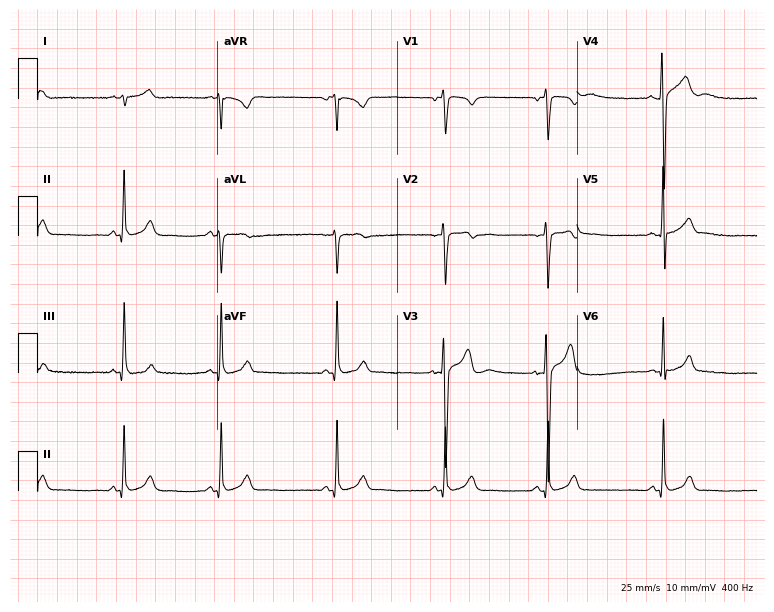
ECG (7.3-second recording at 400 Hz) — a 19-year-old male patient. Screened for six findings — first-degree AV block, right bundle branch block, left bundle branch block, sinus bradycardia, atrial fibrillation, sinus tachycardia — none is recorded. Only these six findings were labelled.